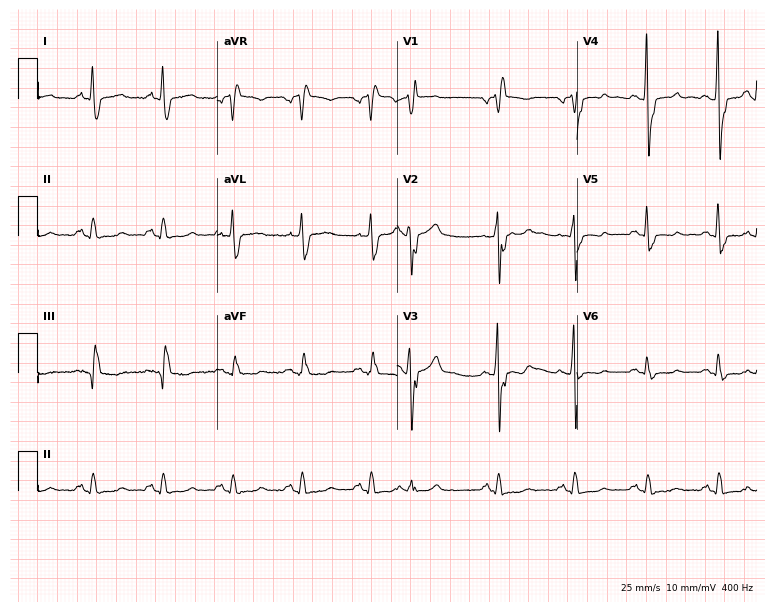
12-lead ECG from a male patient, 75 years old. Findings include right bundle branch block.